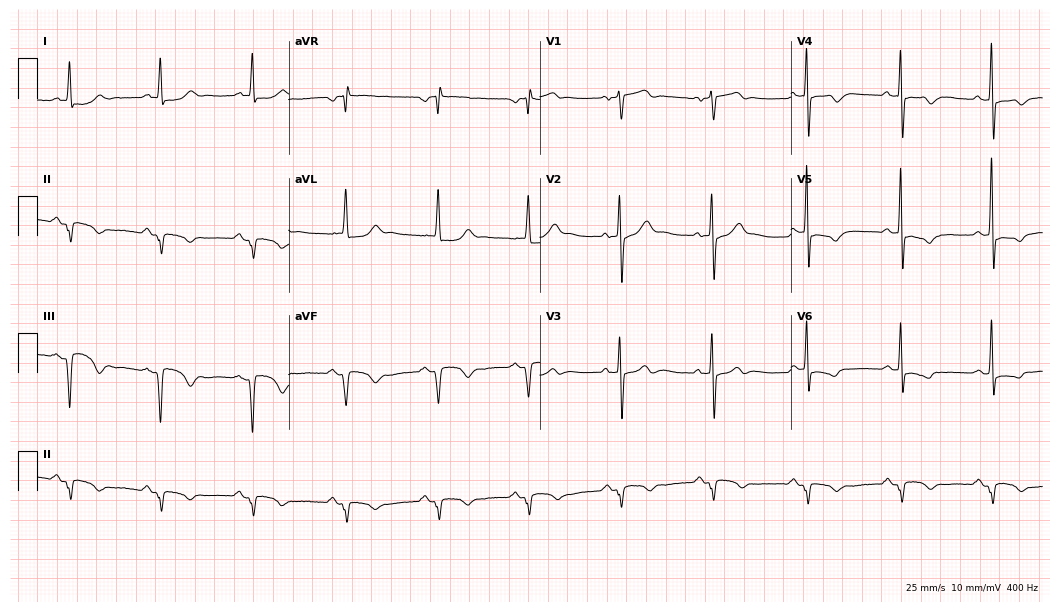
Resting 12-lead electrocardiogram. Patient: a 58-year-old male. None of these six findings is recorded: first-degree AV block, right bundle branch block, left bundle branch block, sinus bradycardia, atrial fibrillation, sinus tachycardia. Findings outside these six are not listed.